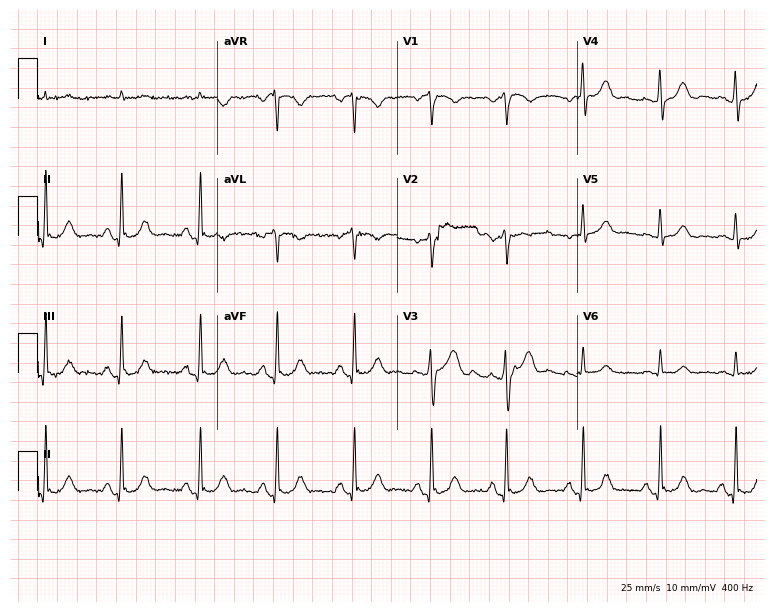
ECG — a male, 81 years old. Screened for six findings — first-degree AV block, right bundle branch block, left bundle branch block, sinus bradycardia, atrial fibrillation, sinus tachycardia — none is recorded. Other findings, if any, are not listed.